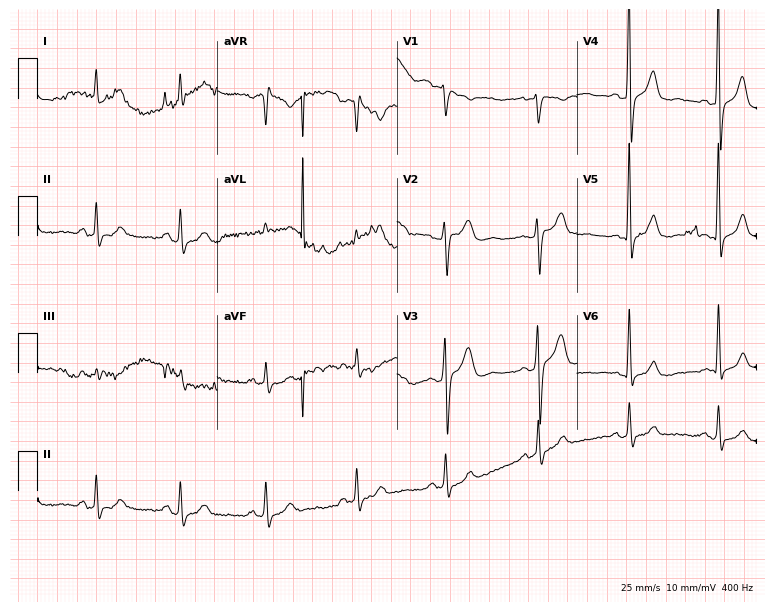
12-lead ECG (7.3-second recording at 400 Hz) from a 53-year-old man. Screened for six findings — first-degree AV block, right bundle branch block, left bundle branch block, sinus bradycardia, atrial fibrillation, sinus tachycardia — none is recorded. Findings outside these six are not listed.